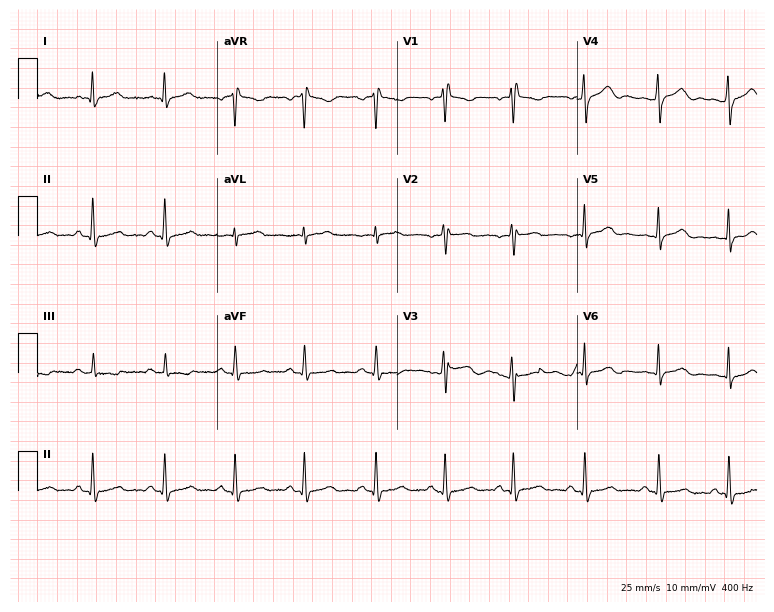
Resting 12-lead electrocardiogram (7.3-second recording at 400 Hz). Patient: a woman, 29 years old. None of these six findings is recorded: first-degree AV block, right bundle branch block, left bundle branch block, sinus bradycardia, atrial fibrillation, sinus tachycardia. Only these six findings were labelled.